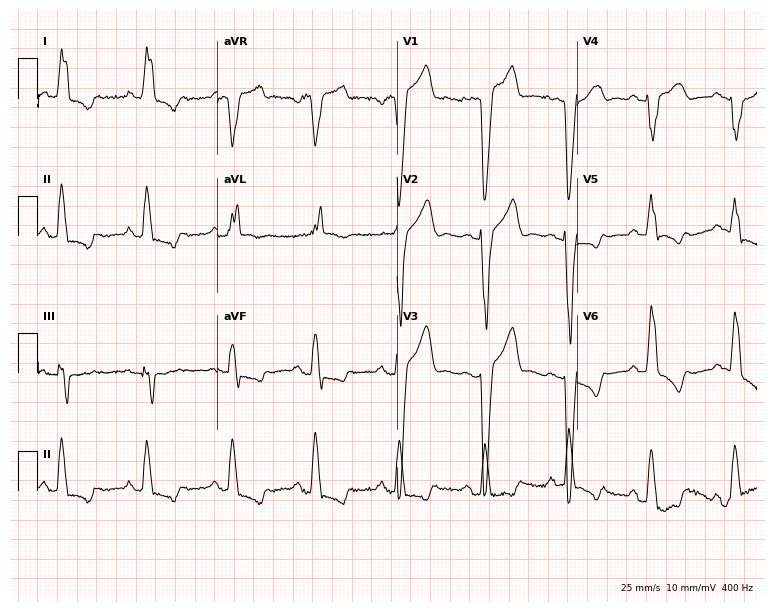
Standard 12-lead ECG recorded from a 63-year-old woman. The tracing shows left bundle branch block.